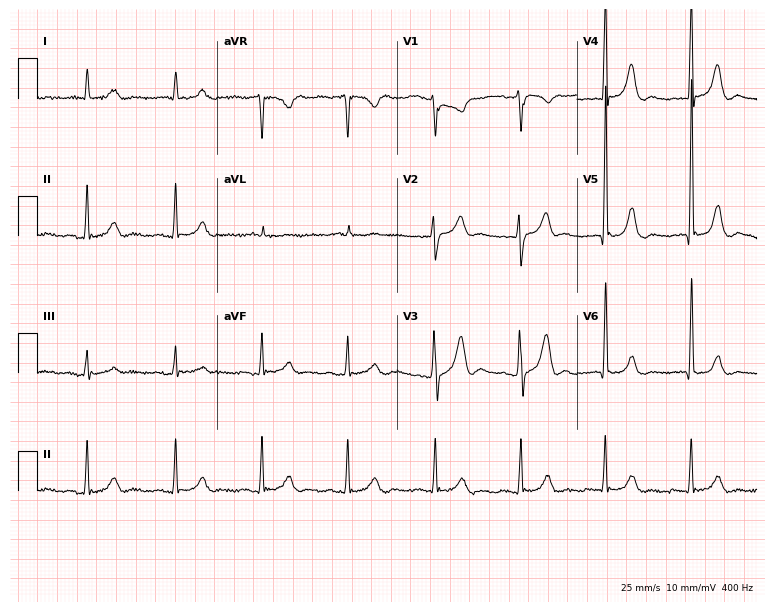
Standard 12-lead ECG recorded from a male, 77 years old. None of these six findings is recorded: first-degree AV block, right bundle branch block (RBBB), left bundle branch block (LBBB), sinus bradycardia, atrial fibrillation (AF), sinus tachycardia.